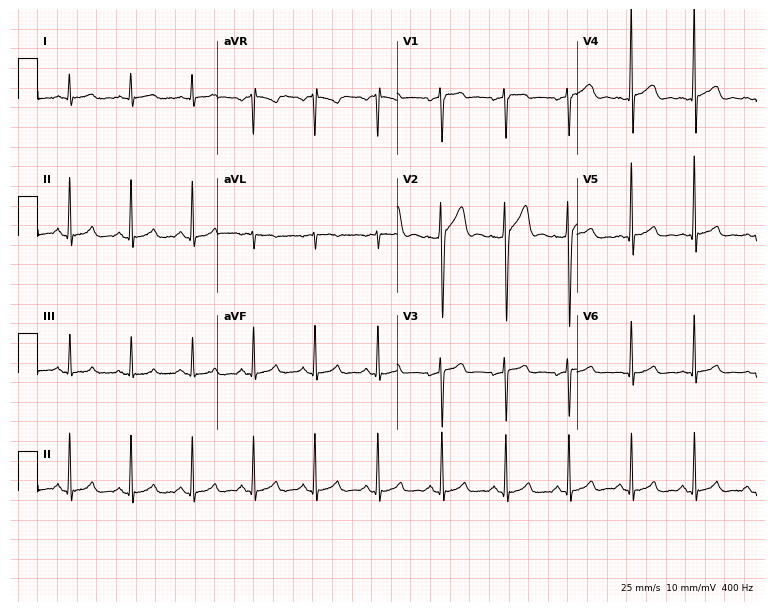
ECG (7.3-second recording at 400 Hz) — a male patient, 23 years old. Labelled as a normal ECG.